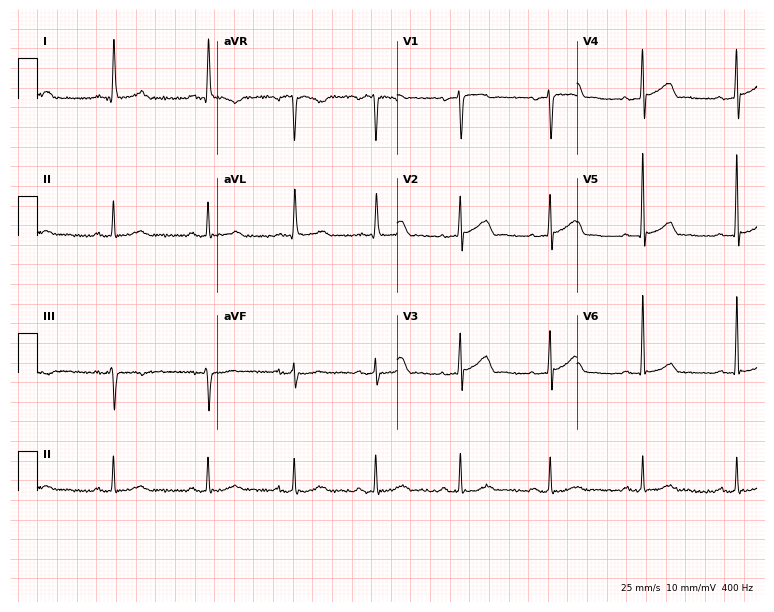
12-lead ECG from a female, 77 years old. Labelled as a normal ECG.